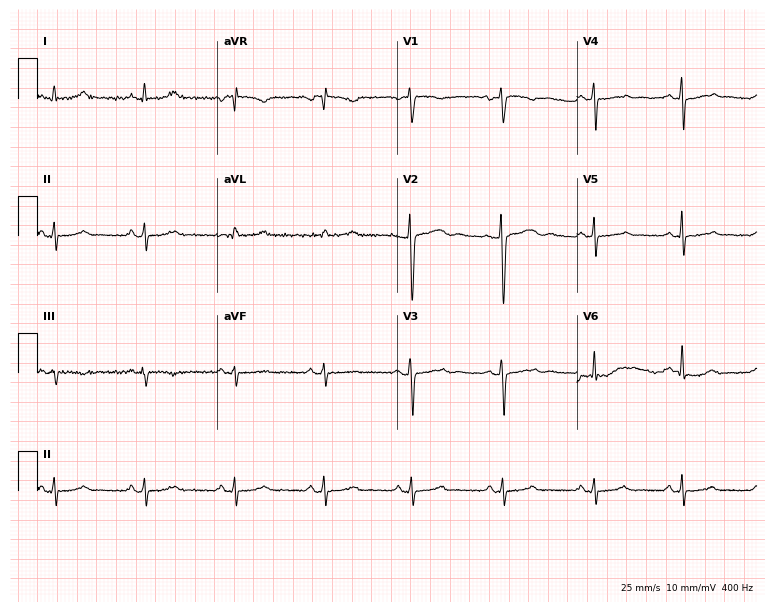
Electrocardiogram, a woman, 45 years old. Overall reading on record: normal ECG.